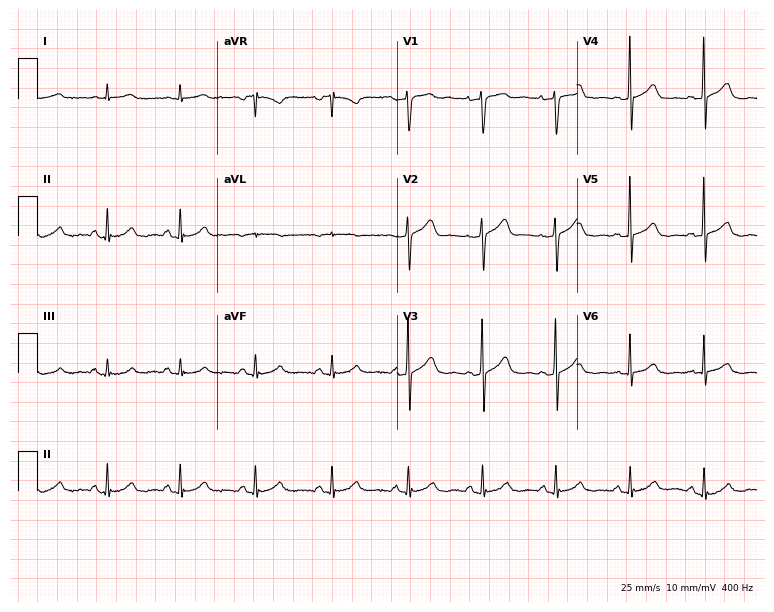
12-lead ECG from a male, 70 years old. Labelled as a normal ECG.